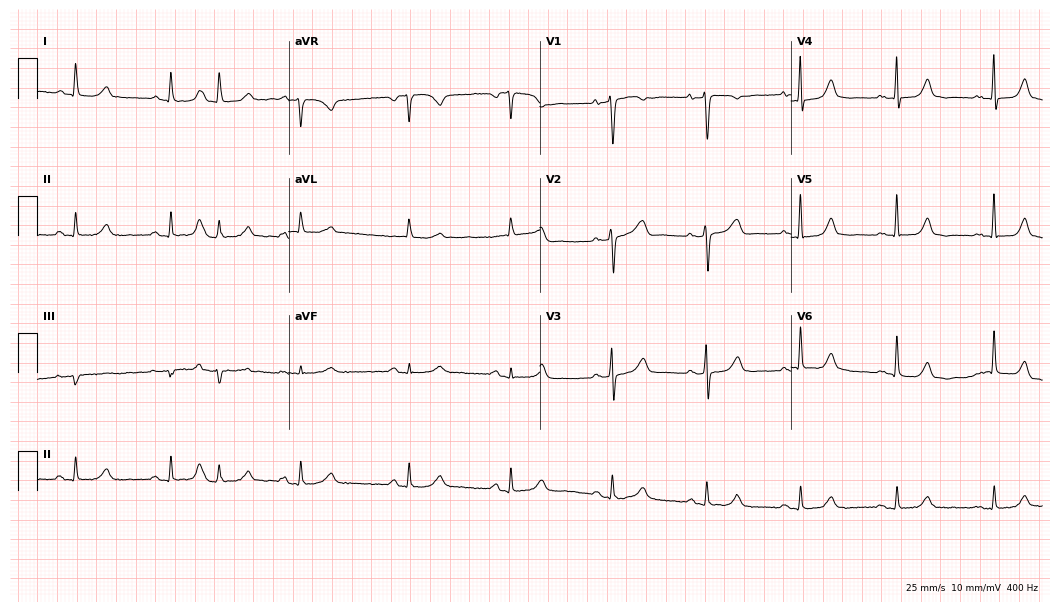
Standard 12-lead ECG recorded from a 66-year-old female patient. Read as a normal ECG.